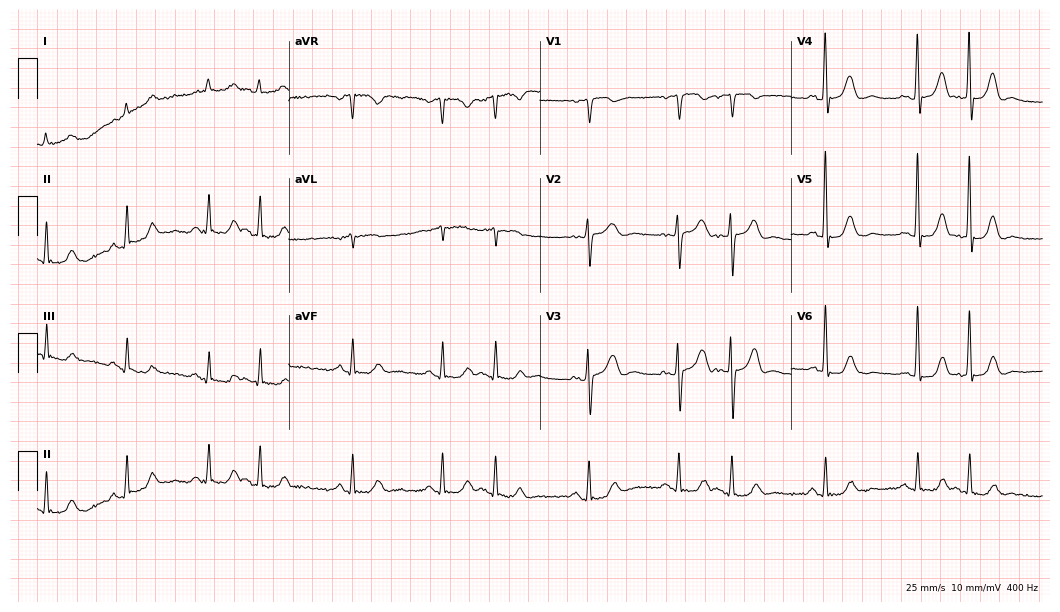
Resting 12-lead electrocardiogram. Patient: a 73-year-old man. None of these six findings is recorded: first-degree AV block, right bundle branch block, left bundle branch block, sinus bradycardia, atrial fibrillation, sinus tachycardia. Other findings, if any, are not listed.